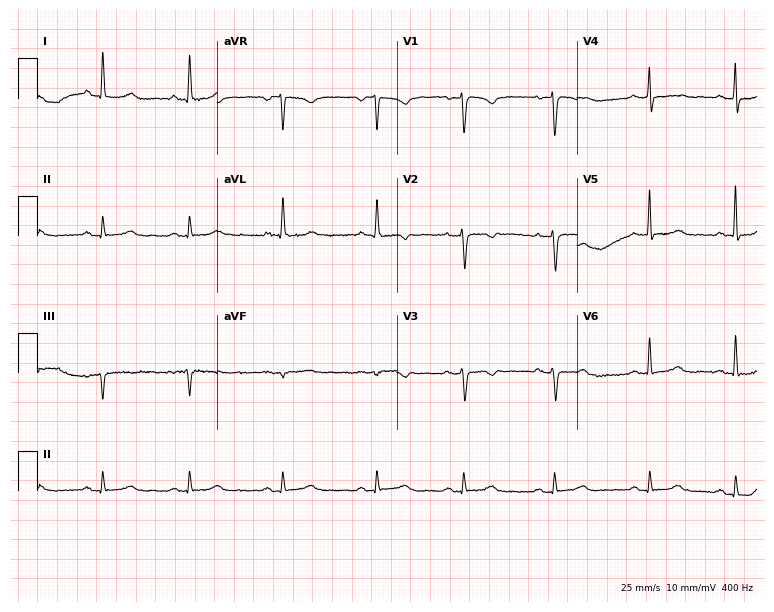
12-lead ECG from a 43-year-old female (7.3-second recording at 400 Hz). No first-degree AV block, right bundle branch block (RBBB), left bundle branch block (LBBB), sinus bradycardia, atrial fibrillation (AF) or sinus tachycardia recorded for this tracing.